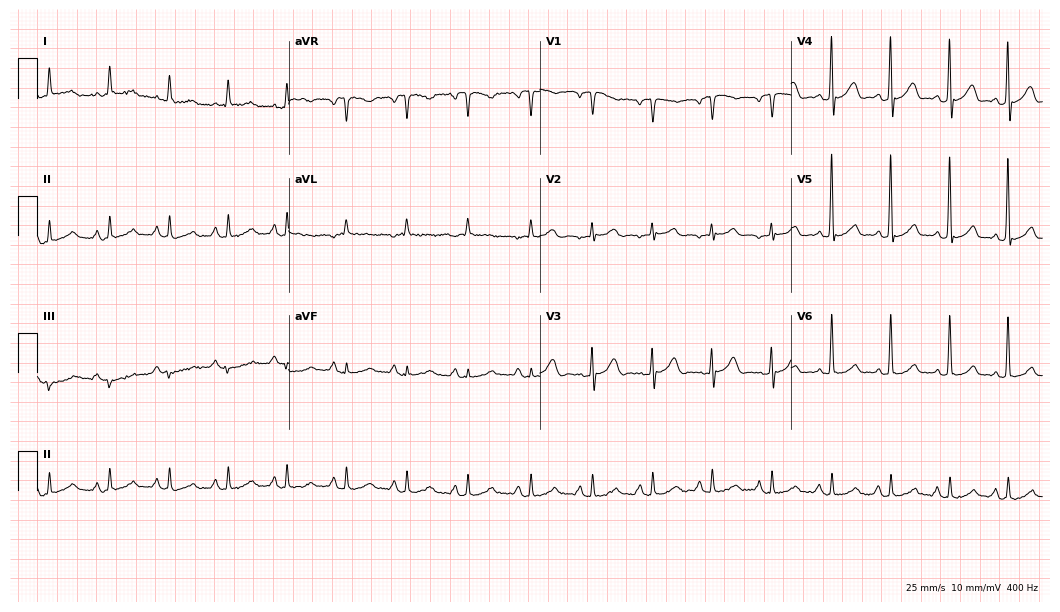
ECG — a female, 64 years old. Screened for six findings — first-degree AV block, right bundle branch block, left bundle branch block, sinus bradycardia, atrial fibrillation, sinus tachycardia — none is recorded.